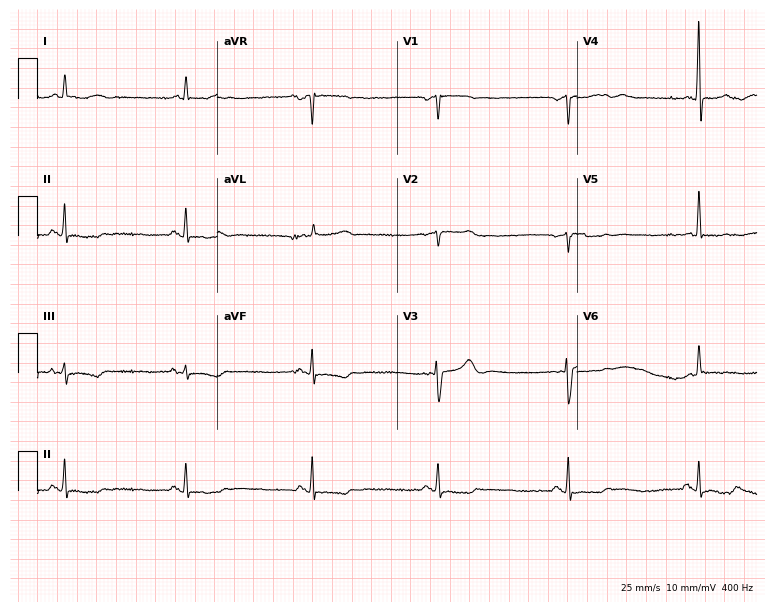
Standard 12-lead ECG recorded from a female patient, 76 years old. None of these six findings is recorded: first-degree AV block, right bundle branch block, left bundle branch block, sinus bradycardia, atrial fibrillation, sinus tachycardia. Findings outside these six are not listed.